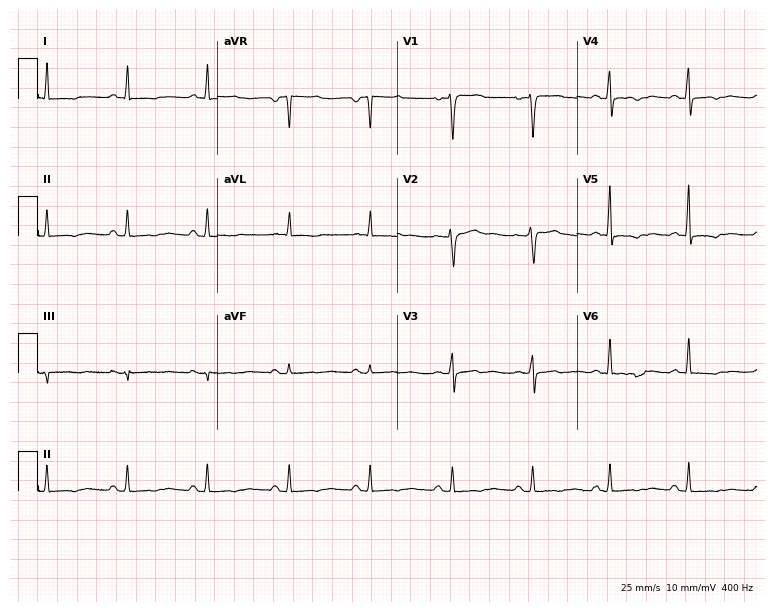
Electrocardiogram, a 45-year-old woman. Of the six screened findings (first-degree AV block, right bundle branch block, left bundle branch block, sinus bradycardia, atrial fibrillation, sinus tachycardia), none is recorded. Findings outside these six are not listed.